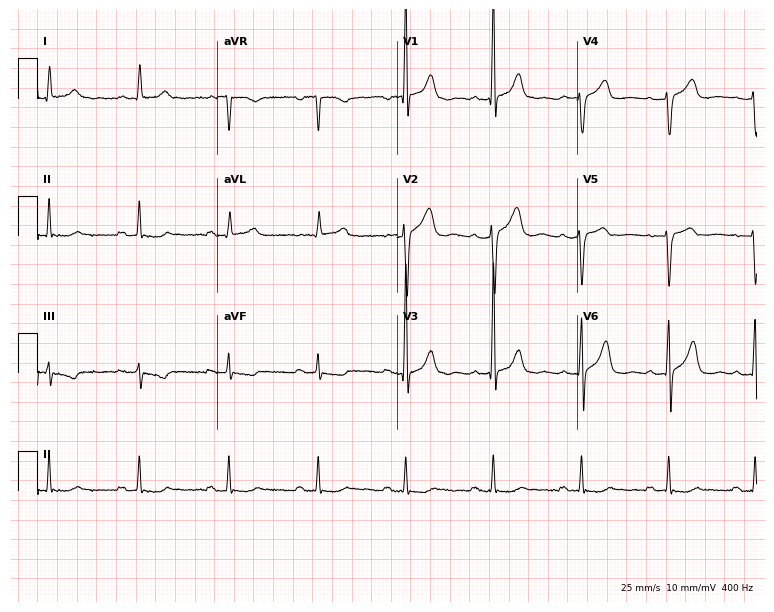
Standard 12-lead ECG recorded from a male, 53 years old. None of these six findings is recorded: first-degree AV block, right bundle branch block, left bundle branch block, sinus bradycardia, atrial fibrillation, sinus tachycardia. Findings outside these six are not listed.